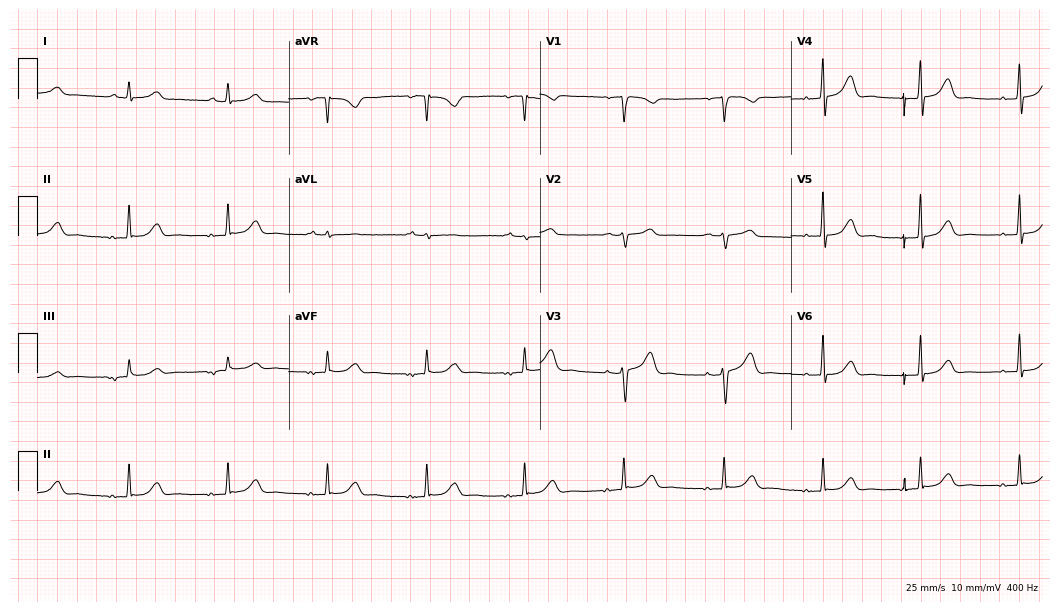
Resting 12-lead electrocardiogram. Patient: a female, 63 years old. Read as a normal ECG.